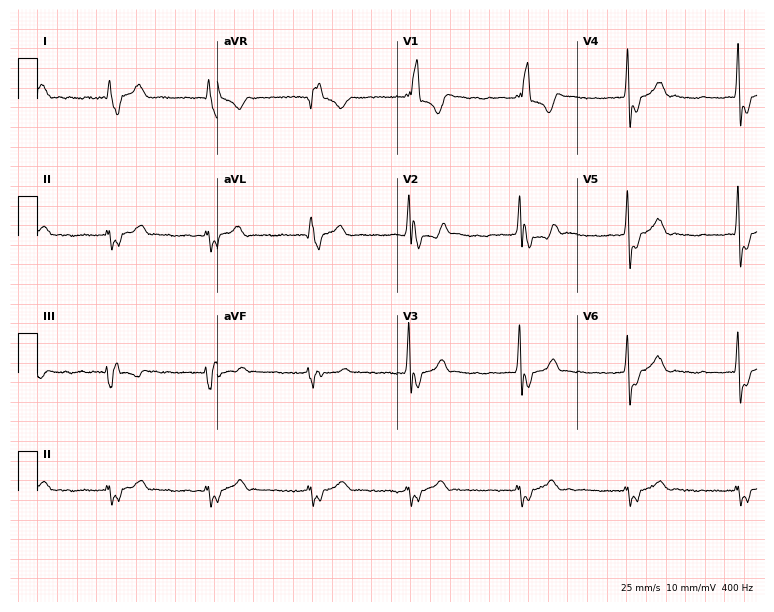
12-lead ECG (7.3-second recording at 400 Hz) from a 56-year-old man. Findings include right bundle branch block.